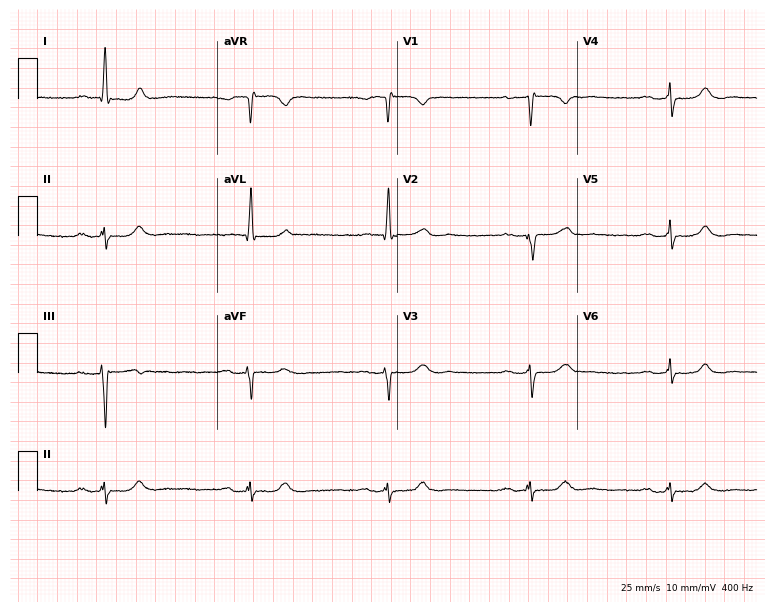
12-lead ECG from a woman, 77 years old (7.3-second recording at 400 Hz). Shows first-degree AV block, sinus bradycardia (a sinus rate of 50 beats per minute or less).